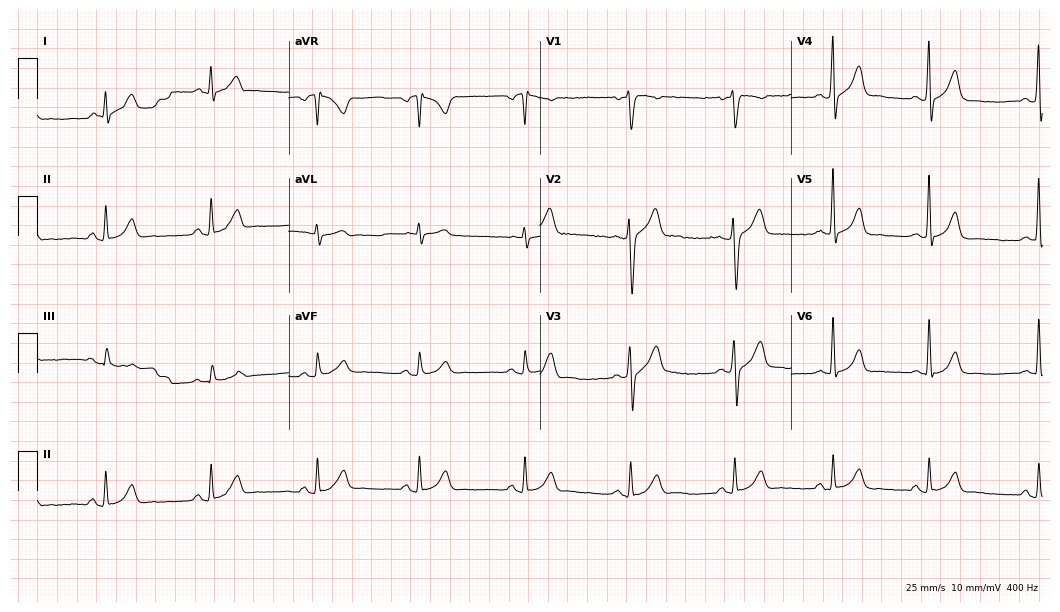
Resting 12-lead electrocardiogram. Patient: a 44-year-old male. Read as a normal ECG.